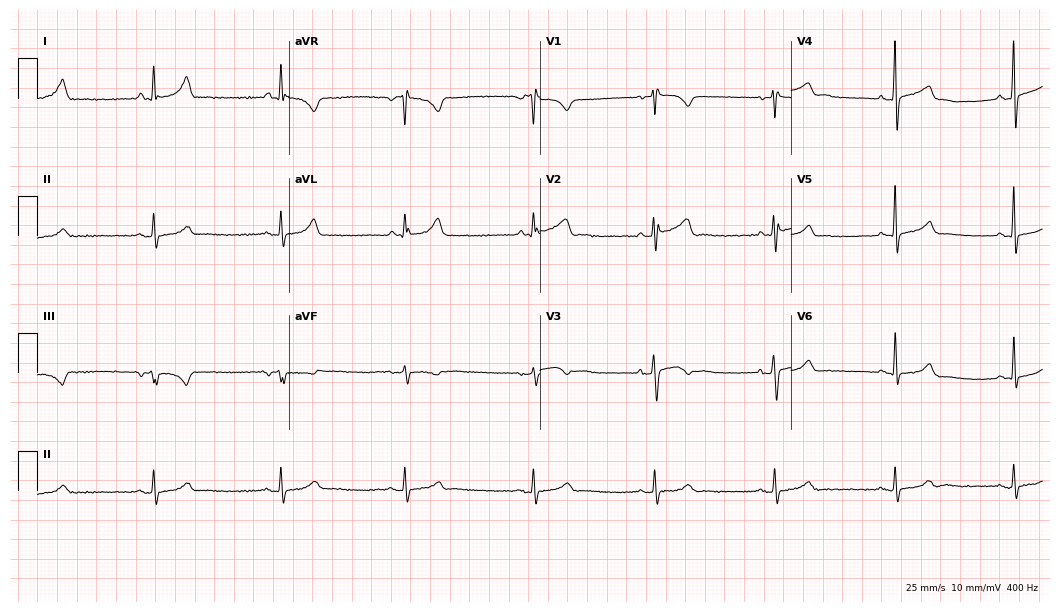
ECG — a 59-year-old male patient. Screened for six findings — first-degree AV block, right bundle branch block (RBBB), left bundle branch block (LBBB), sinus bradycardia, atrial fibrillation (AF), sinus tachycardia — none is recorded.